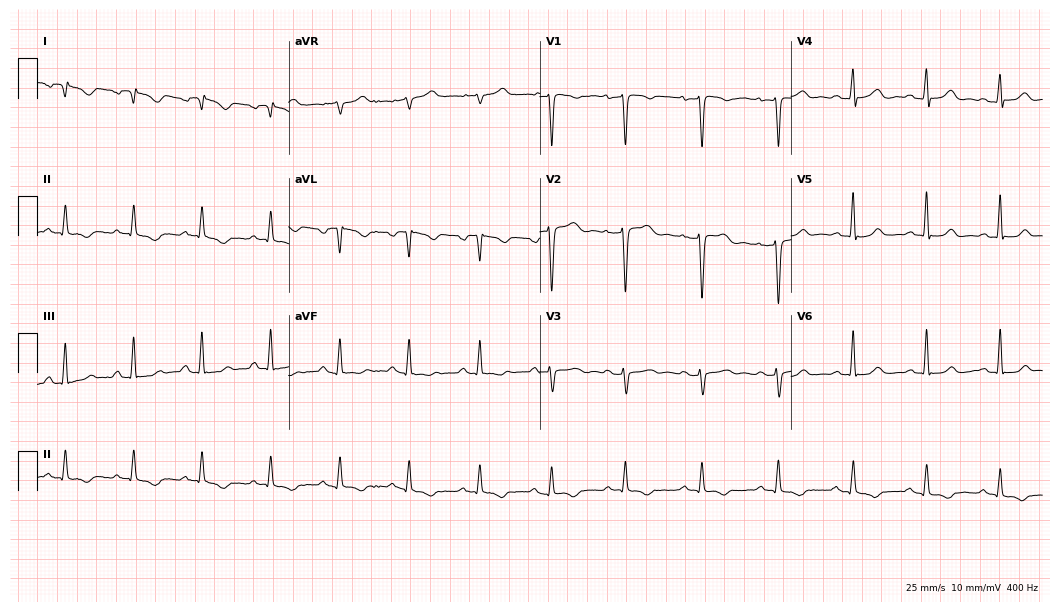
12-lead ECG from a 37-year-old woman. Screened for six findings — first-degree AV block, right bundle branch block, left bundle branch block, sinus bradycardia, atrial fibrillation, sinus tachycardia — none is recorded. Other findings, if any, are not listed.